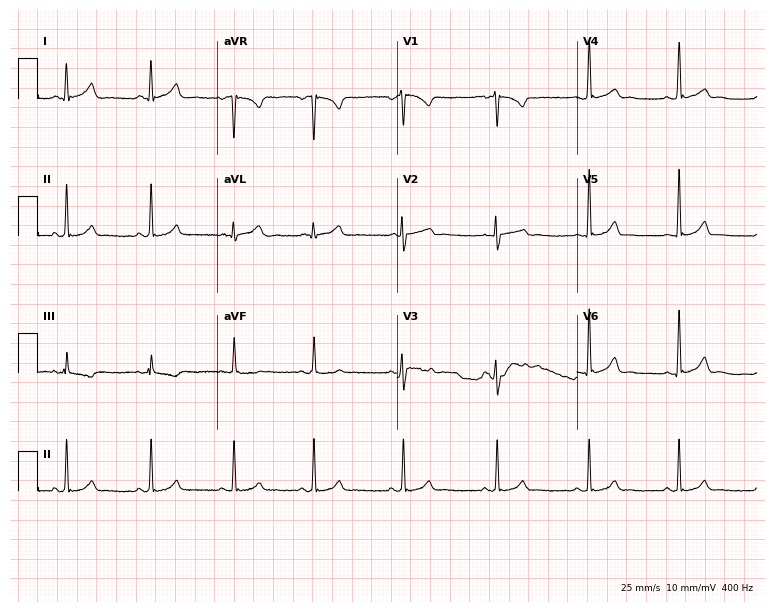
Standard 12-lead ECG recorded from a 22-year-old female patient (7.3-second recording at 400 Hz). Read as a normal ECG.